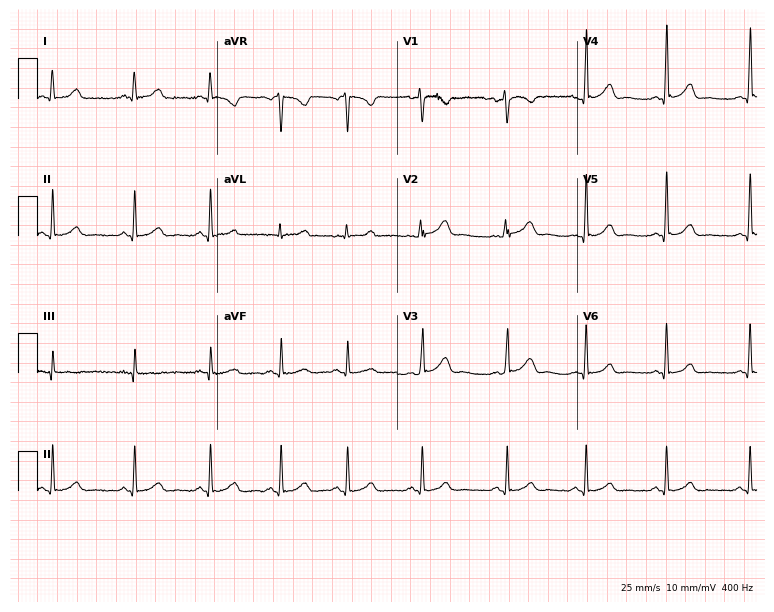
ECG (7.3-second recording at 400 Hz) — a 31-year-old female patient. Labelled as a normal ECG.